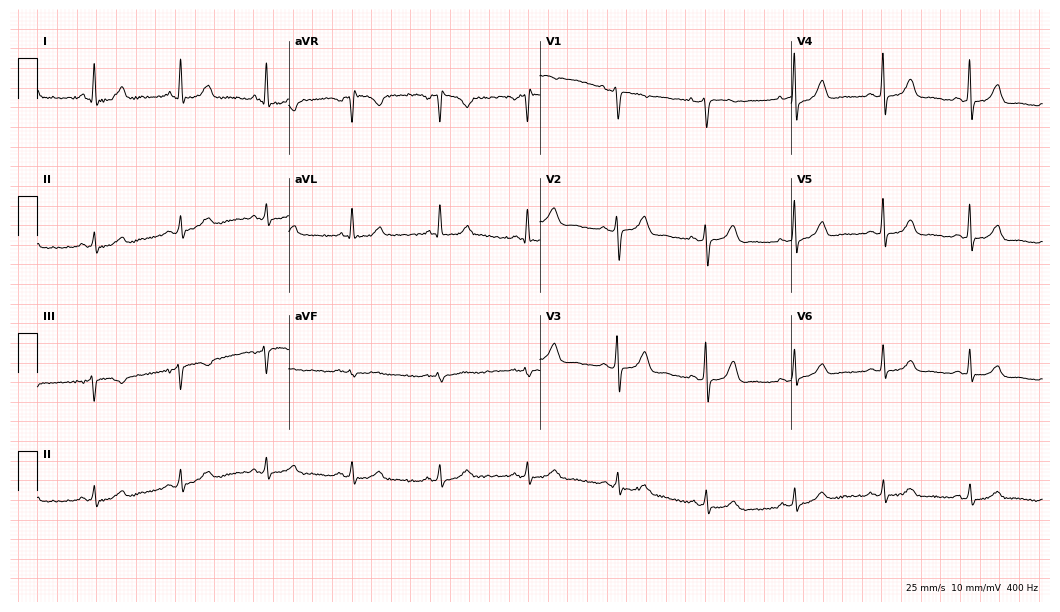
12-lead ECG from a female patient, 55 years old. Recorded interpretation: within normal limits.